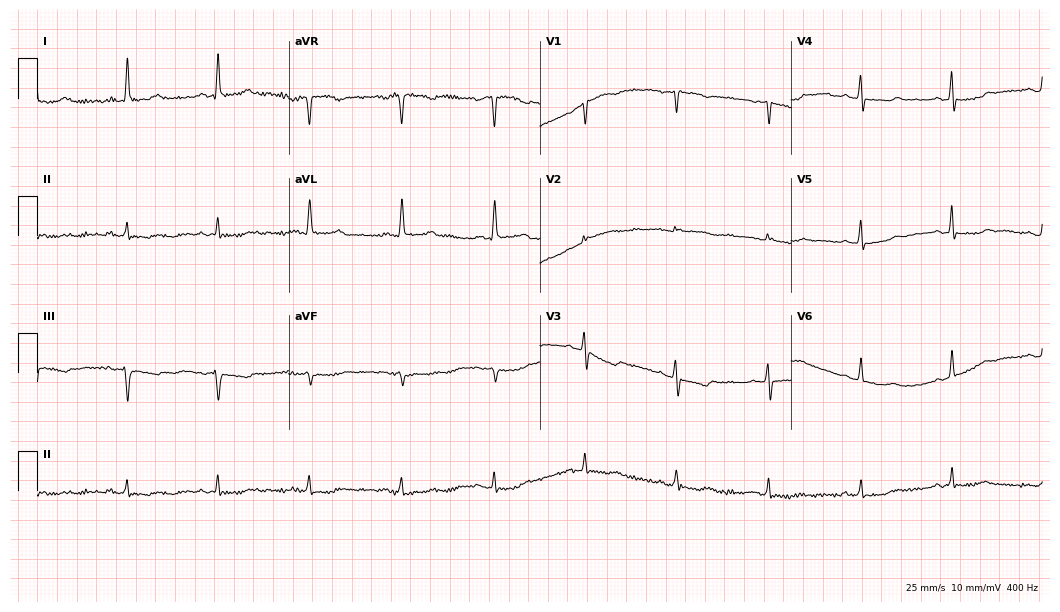
ECG (10.2-second recording at 400 Hz) — a 70-year-old female patient. Screened for six findings — first-degree AV block, right bundle branch block (RBBB), left bundle branch block (LBBB), sinus bradycardia, atrial fibrillation (AF), sinus tachycardia — none is recorded. Other findings, if any, are not listed.